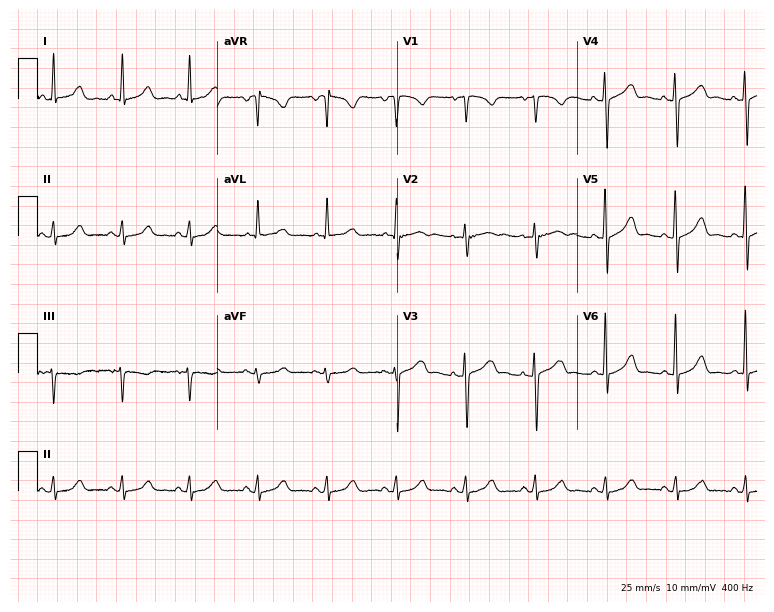
Standard 12-lead ECG recorded from a 50-year-old woman. None of these six findings is recorded: first-degree AV block, right bundle branch block (RBBB), left bundle branch block (LBBB), sinus bradycardia, atrial fibrillation (AF), sinus tachycardia. Only these six findings were labelled.